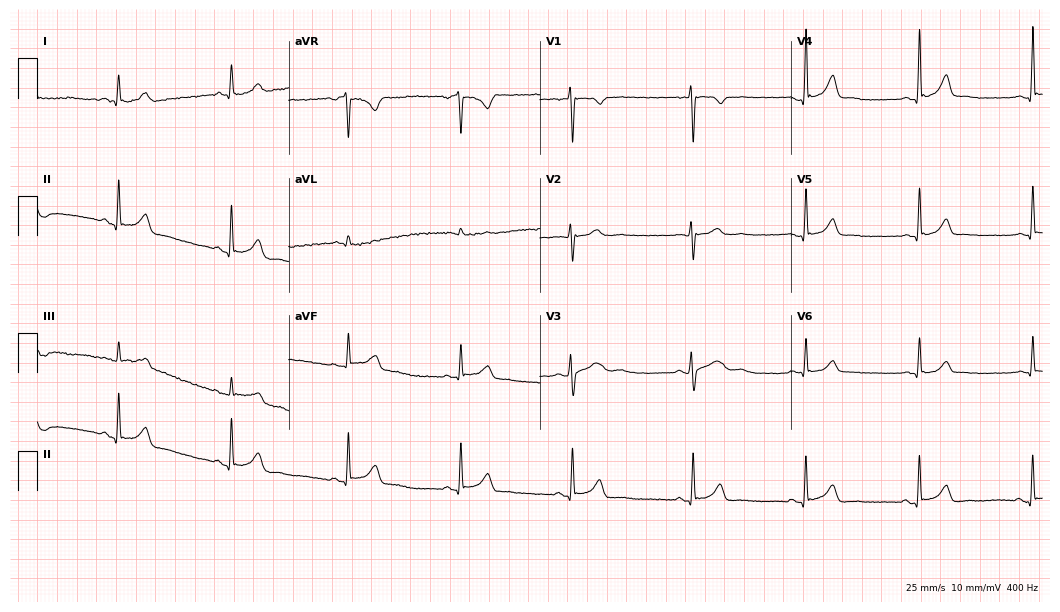
12-lead ECG from a 20-year-old female. Recorded interpretation: within normal limits.